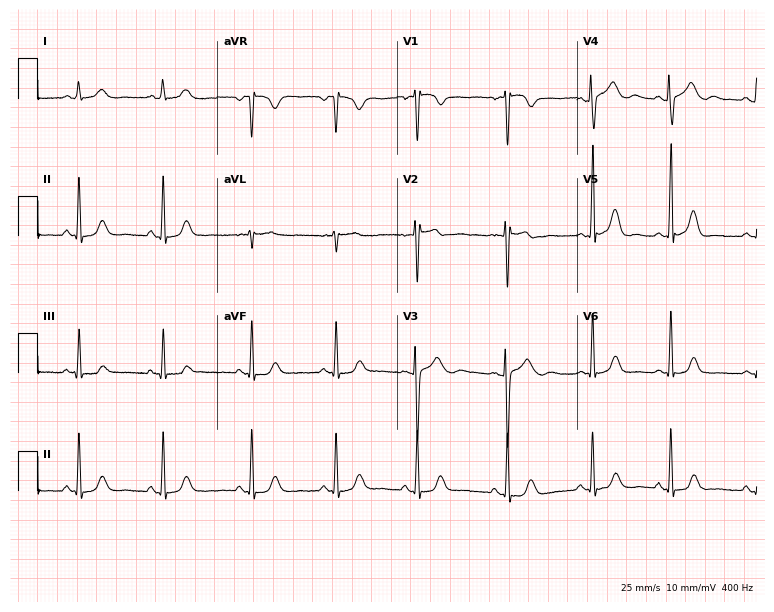
Standard 12-lead ECG recorded from a female patient, 20 years old. Read as a normal ECG.